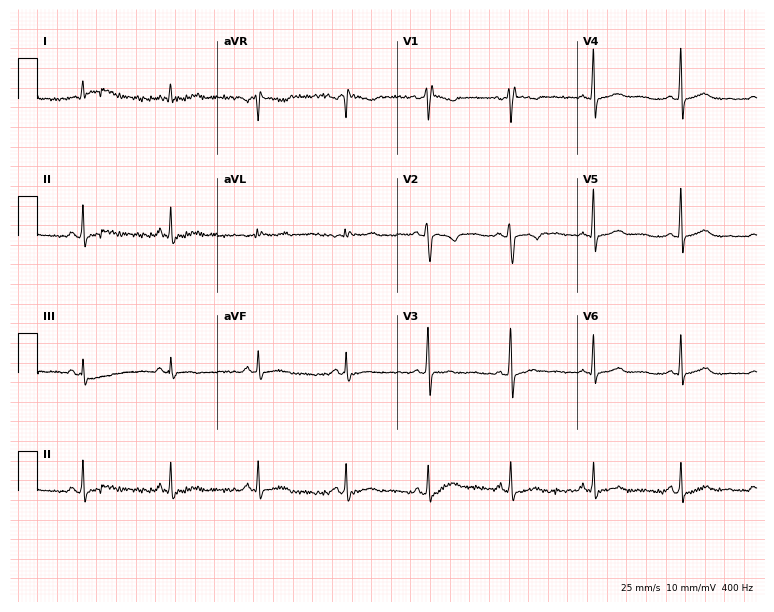
Resting 12-lead electrocardiogram (7.3-second recording at 400 Hz). Patient: a female, 35 years old. None of these six findings is recorded: first-degree AV block, right bundle branch block, left bundle branch block, sinus bradycardia, atrial fibrillation, sinus tachycardia. Other findings, if any, are not listed.